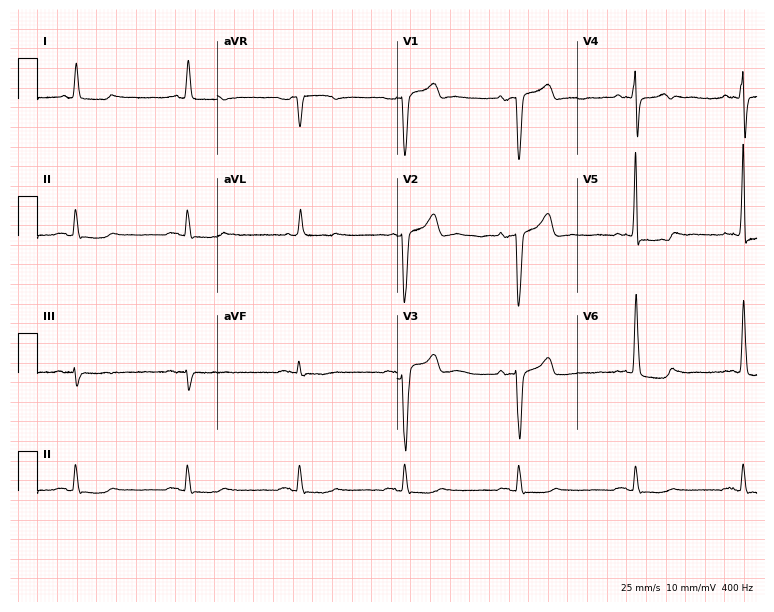
12-lead ECG from a 74-year-old male (7.3-second recording at 400 Hz). No first-degree AV block, right bundle branch block (RBBB), left bundle branch block (LBBB), sinus bradycardia, atrial fibrillation (AF) or sinus tachycardia recorded for this tracing. Only these six findings were labelled.